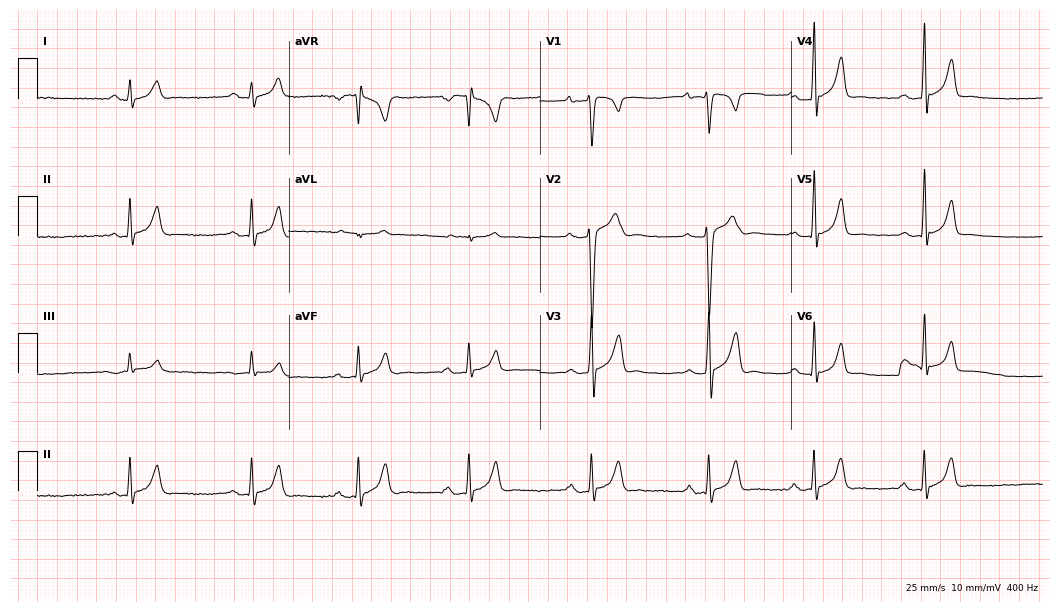
12-lead ECG from an 18-year-old male (10.2-second recording at 400 Hz). Shows first-degree AV block.